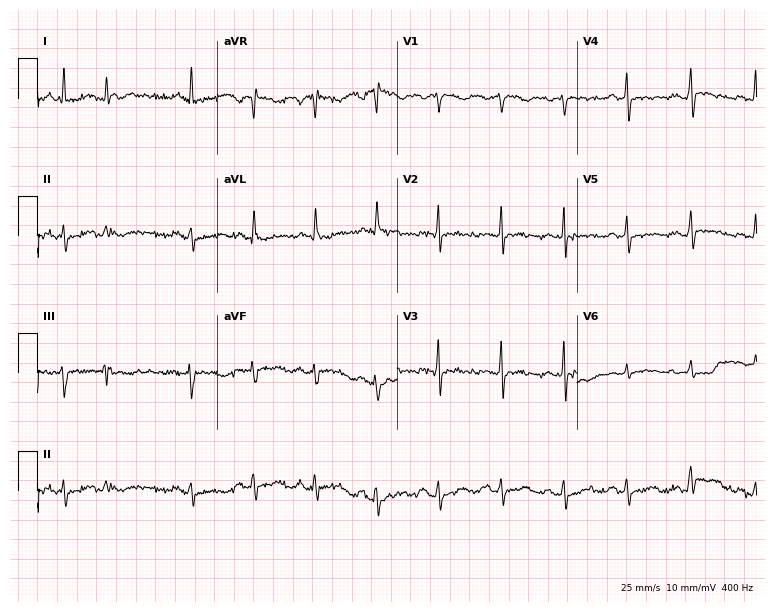
12-lead ECG (7.3-second recording at 400 Hz) from a woman, 56 years old. Screened for six findings — first-degree AV block, right bundle branch block (RBBB), left bundle branch block (LBBB), sinus bradycardia, atrial fibrillation (AF), sinus tachycardia — none is recorded.